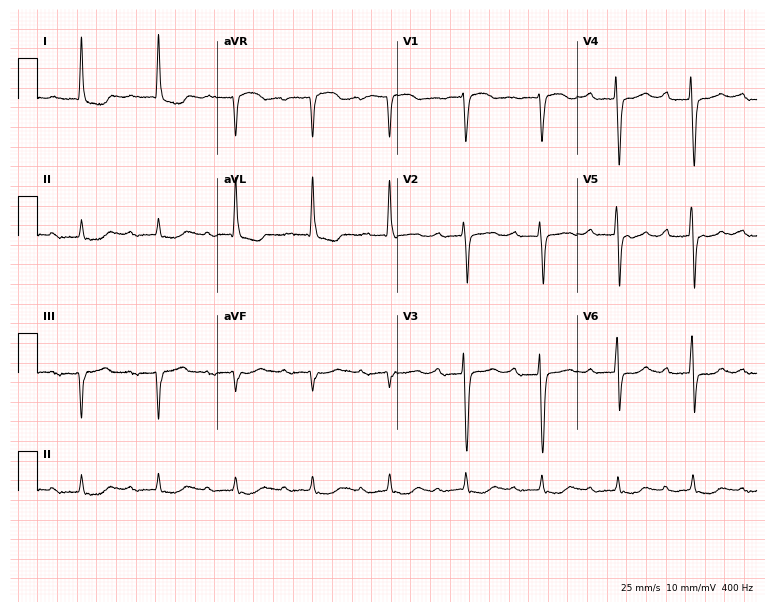
Electrocardiogram (7.3-second recording at 400 Hz), a female, 75 years old. Interpretation includes first-degree AV block.